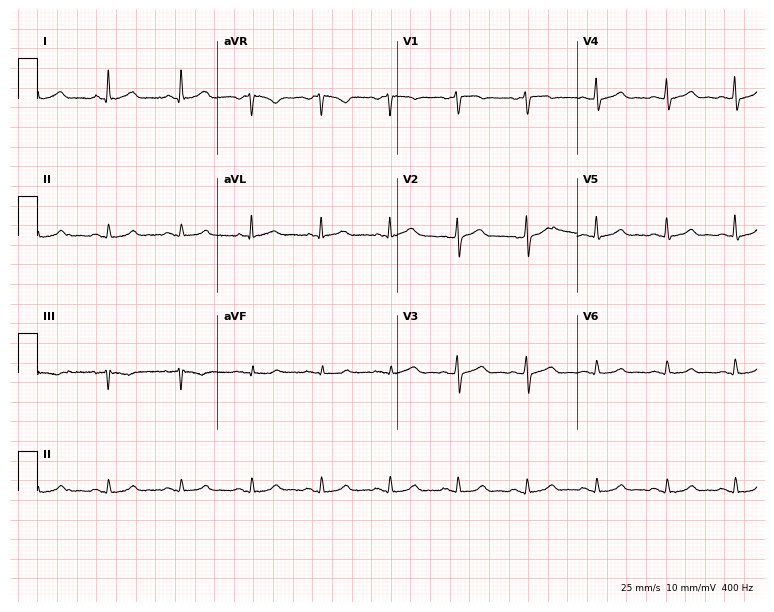
12-lead ECG from a 46-year-old woman. Labelled as a normal ECG.